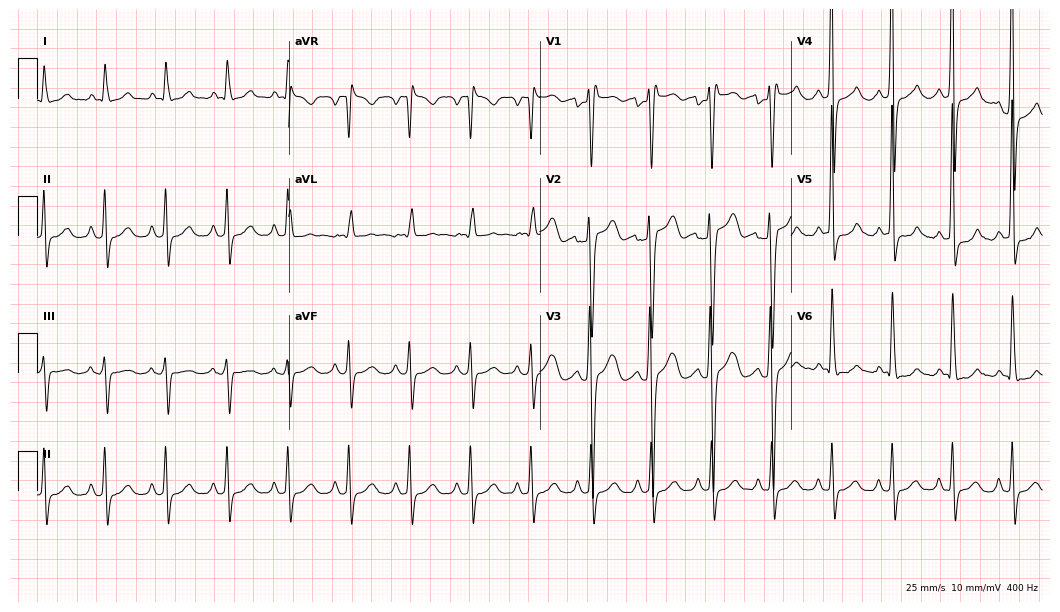
Resting 12-lead electrocardiogram (10.2-second recording at 400 Hz). Patient: a 51-year-old male. None of these six findings is recorded: first-degree AV block, right bundle branch block, left bundle branch block, sinus bradycardia, atrial fibrillation, sinus tachycardia.